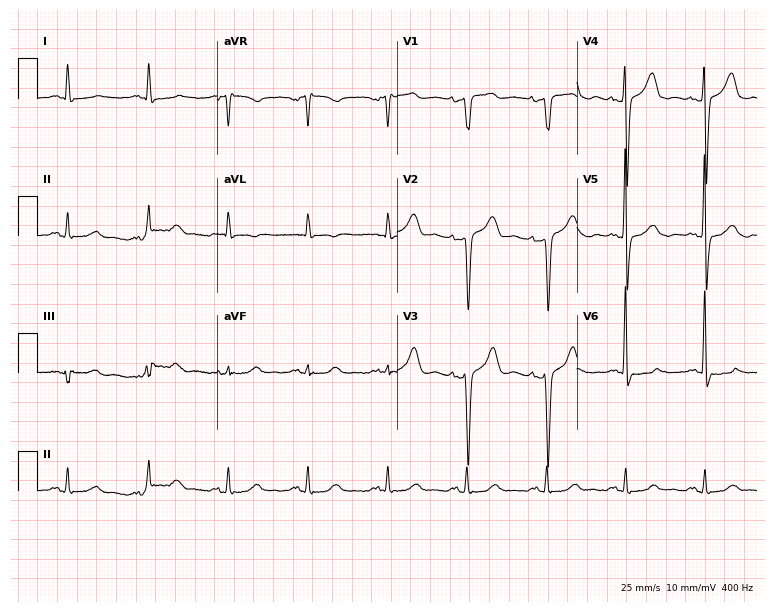
12-lead ECG from a female, 69 years old. Screened for six findings — first-degree AV block, right bundle branch block, left bundle branch block, sinus bradycardia, atrial fibrillation, sinus tachycardia — none is recorded.